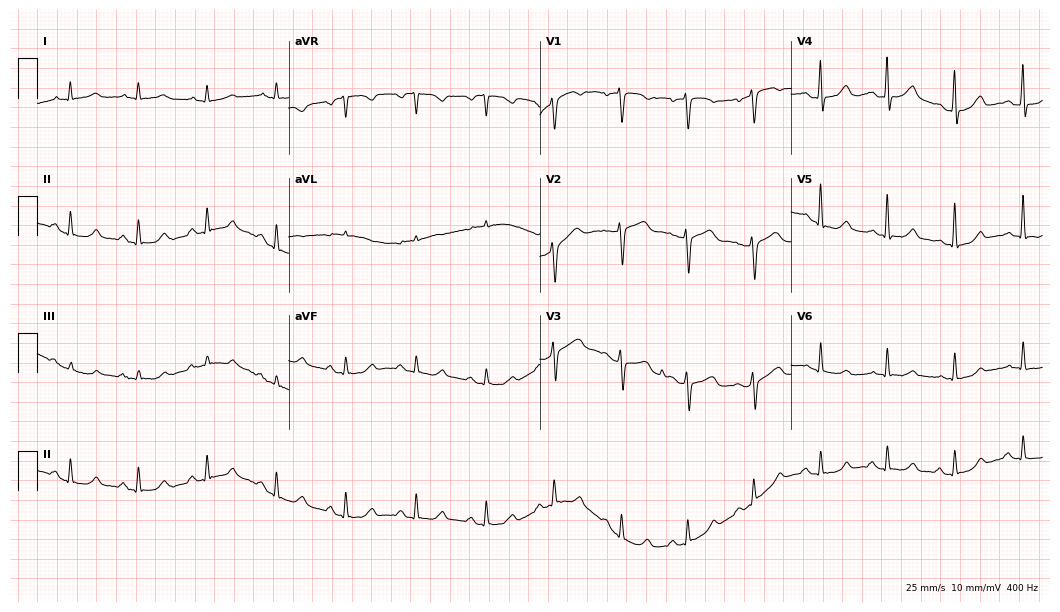
12-lead ECG from a 52-year-old female (10.2-second recording at 400 Hz). Recorded interpretation: within normal limits.